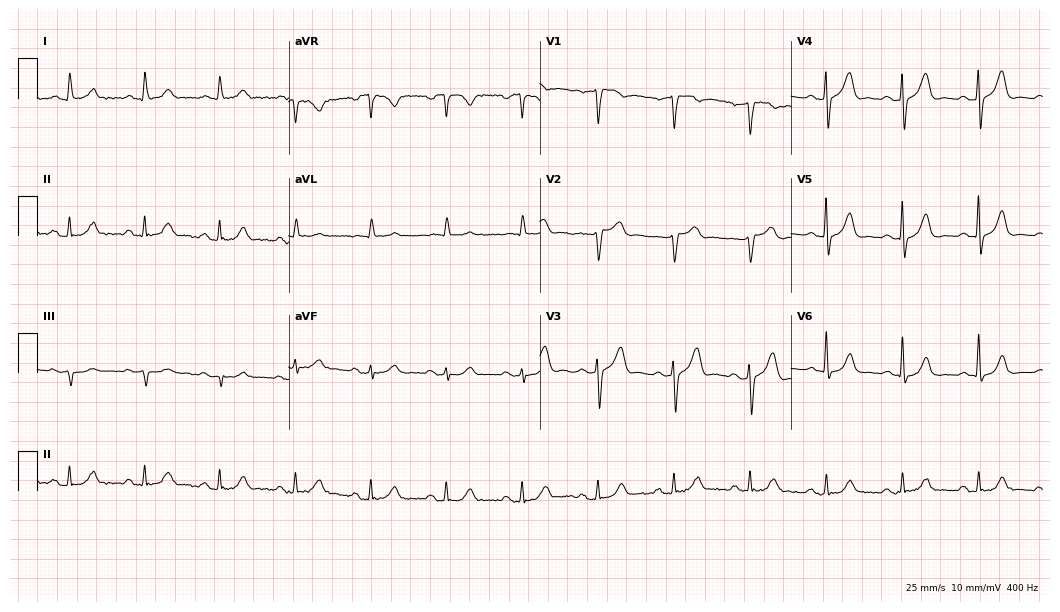
Standard 12-lead ECG recorded from a male, 69 years old (10.2-second recording at 400 Hz). Read as a normal ECG.